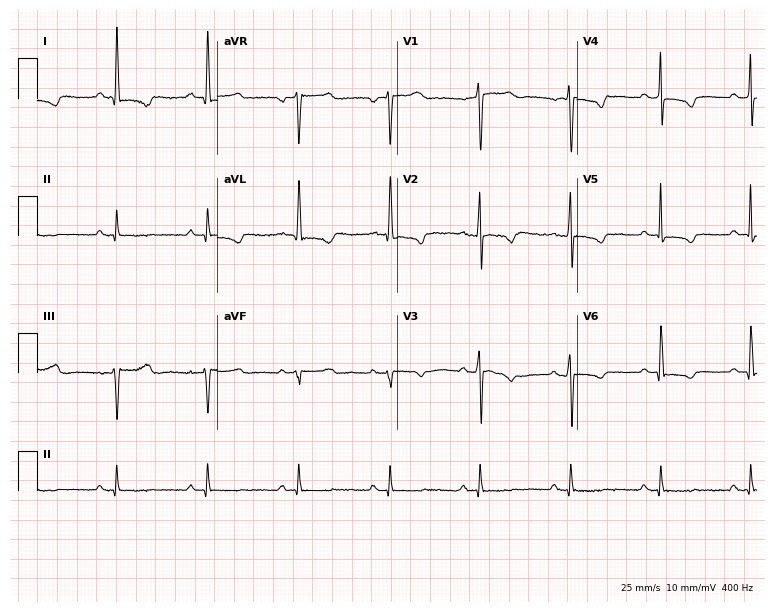
ECG (7.3-second recording at 400 Hz) — a female patient, 54 years old. Labelled as a normal ECG.